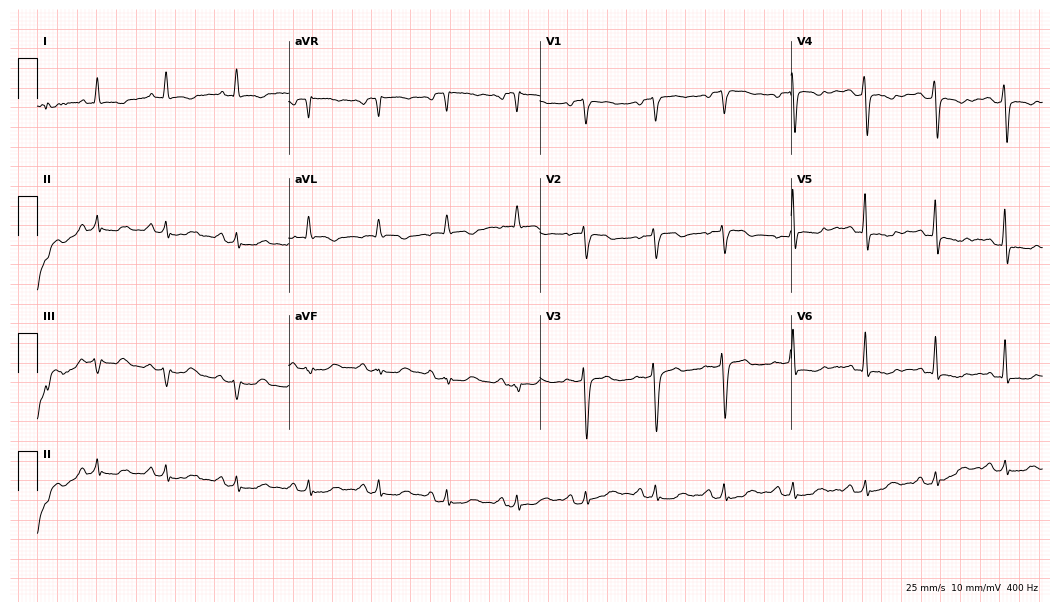
ECG — a female patient, 66 years old. Labelled as a normal ECG.